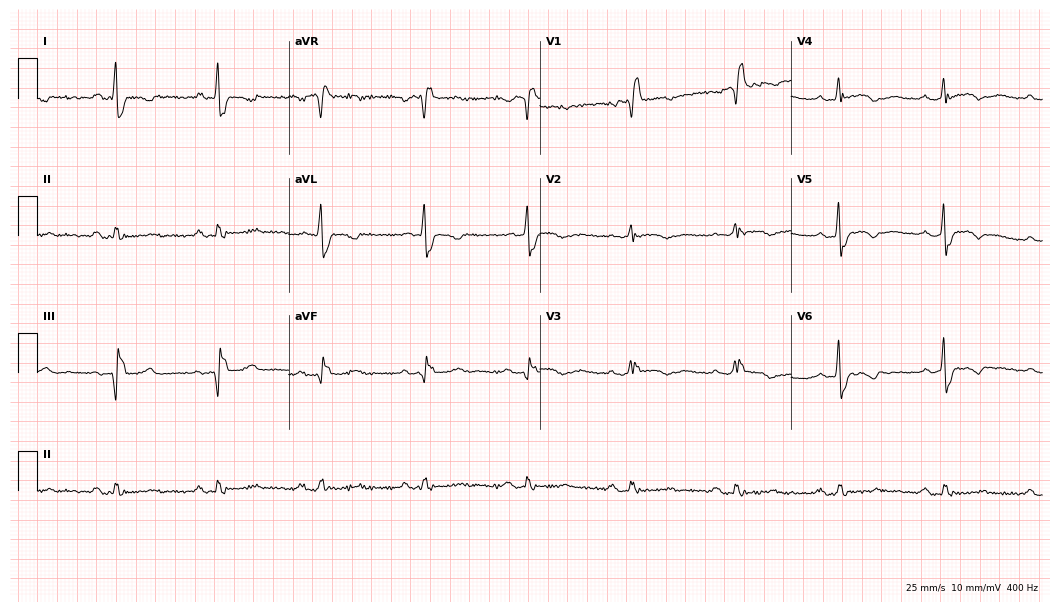
12-lead ECG (10.2-second recording at 400 Hz) from a female, 63 years old. Screened for six findings — first-degree AV block, right bundle branch block, left bundle branch block, sinus bradycardia, atrial fibrillation, sinus tachycardia — none is recorded. Only these six findings were labelled.